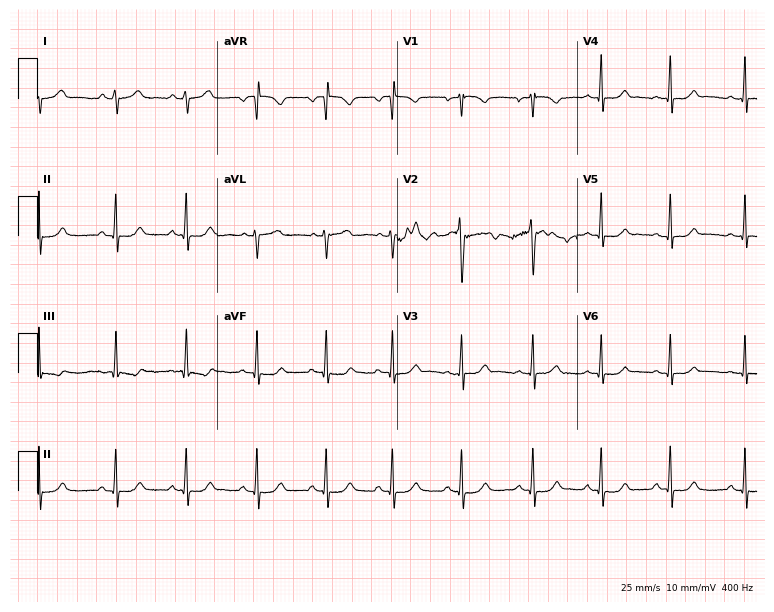
12-lead ECG from an 18-year-old female. Labelled as a normal ECG.